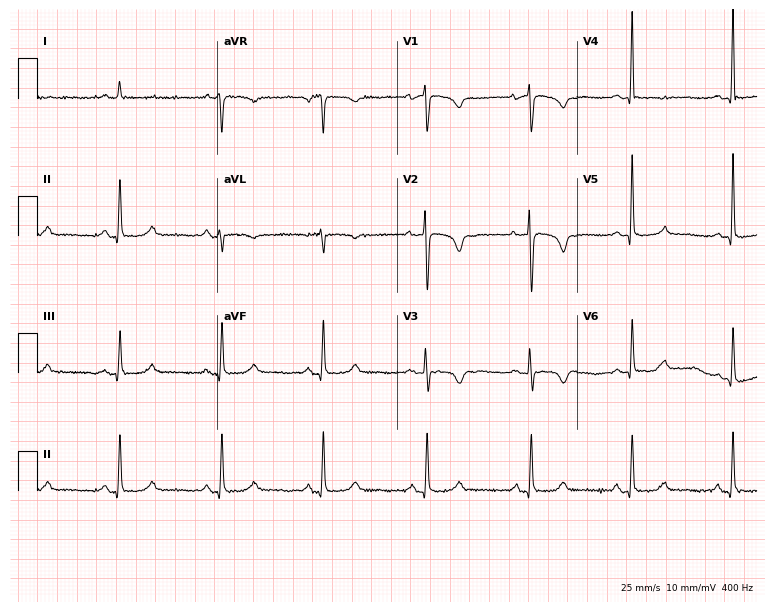
ECG — a woman, 68 years old. Screened for six findings — first-degree AV block, right bundle branch block, left bundle branch block, sinus bradycardia, atrial fibrillation, sinus tachycardia — none is recorded.